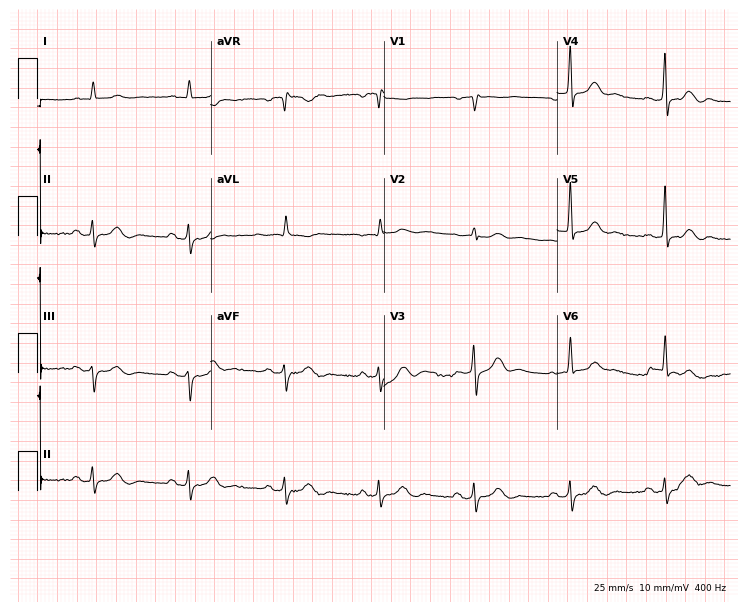
Standard 12-lead ECG recorded from a 65-year-old female patient. None of these six findings is recorded: first-degree AV block, right bundle branch block, left bundle branch block, sinus bradycardia, atrial fibrillation, sinus tachycardia.